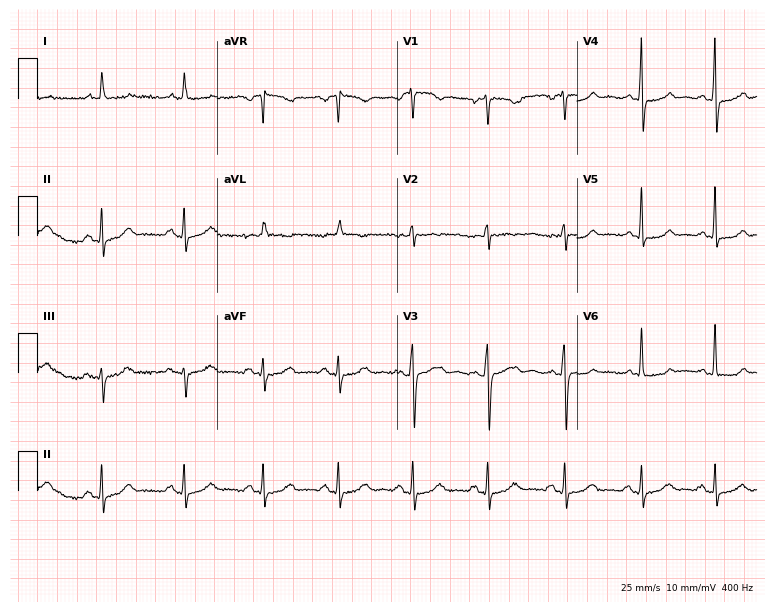
Electrocardiogram (7.3-second recording at 400 Hz), a female patient, 56 years old. Overall reading on record: normal ECG.